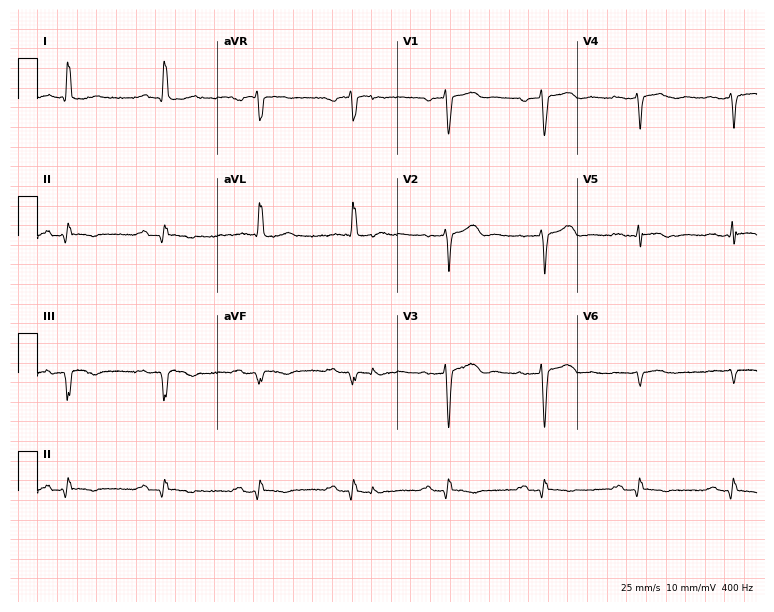
12-lead ECG from a 67-year-old female. Screened for six findings — first-degree AV block, right bundle branch block (RBBB), left bundle branch block (LBBB), sinus bradycardia, atrial fibrillation (AF), sinus tachycardia — none is recorded. Findings outside these six are not listed.